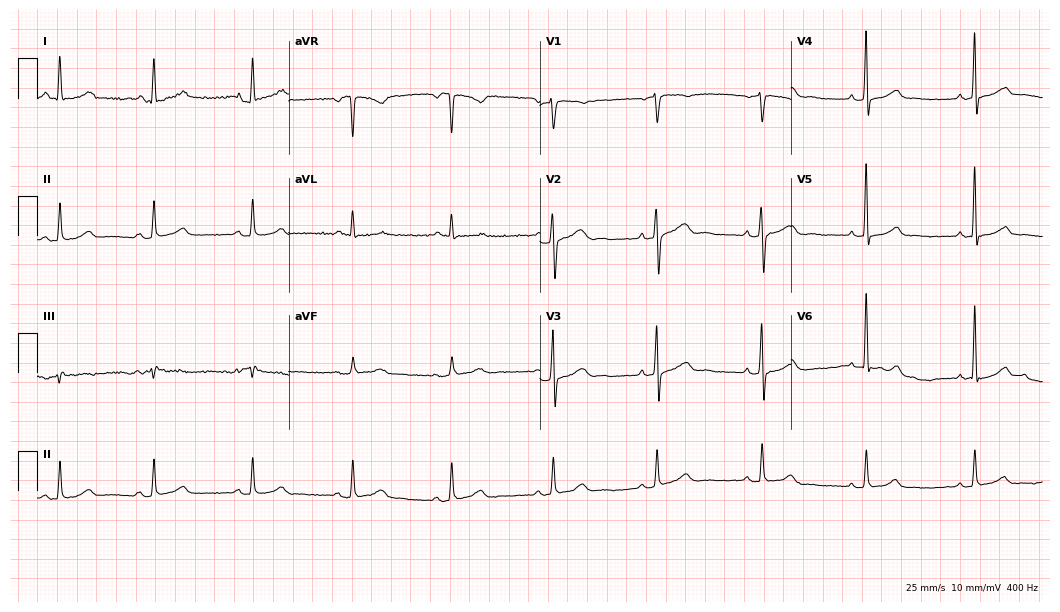
ECG — a female, 59 years old. Labelled as a normal ECG.